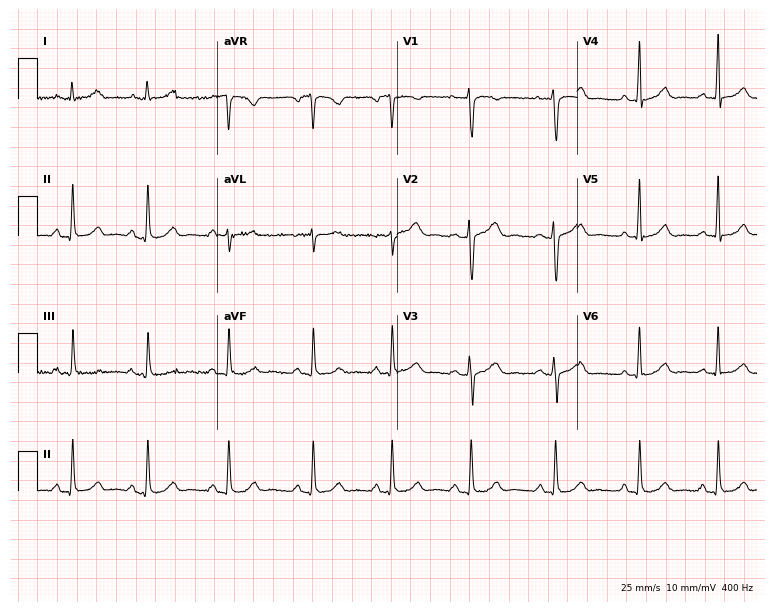
12-lead ECG from a 44-year-old female patient (7.3-second recording at 400 Hz). No first-degree AV block, right bundle branch block (RBBB), left bundle branch block (LBBB), sinus bradycardia, atrial fibrillation (AF) or sinus tachycardia recorded for this tracing.